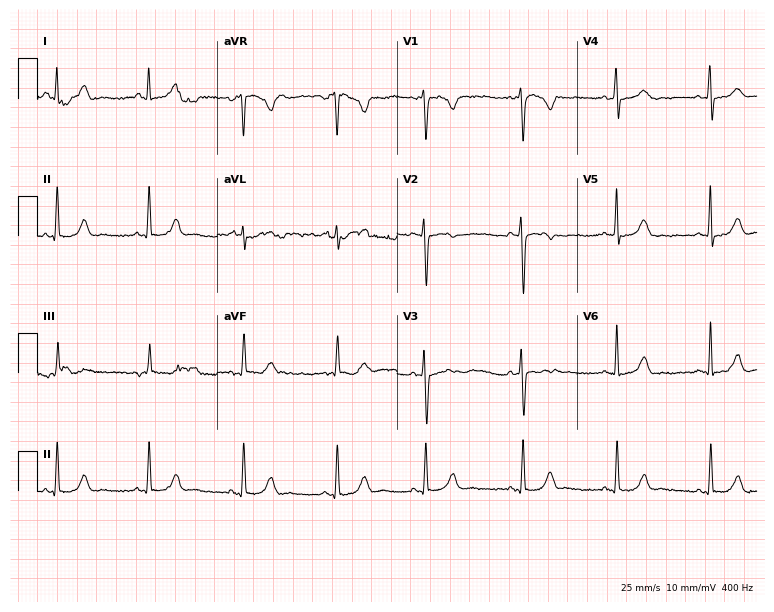
Standard 12-lead ECG recorded from a 25-year-old female patient (7.3-second recording at 400 Hz). Read as a normal ECG.